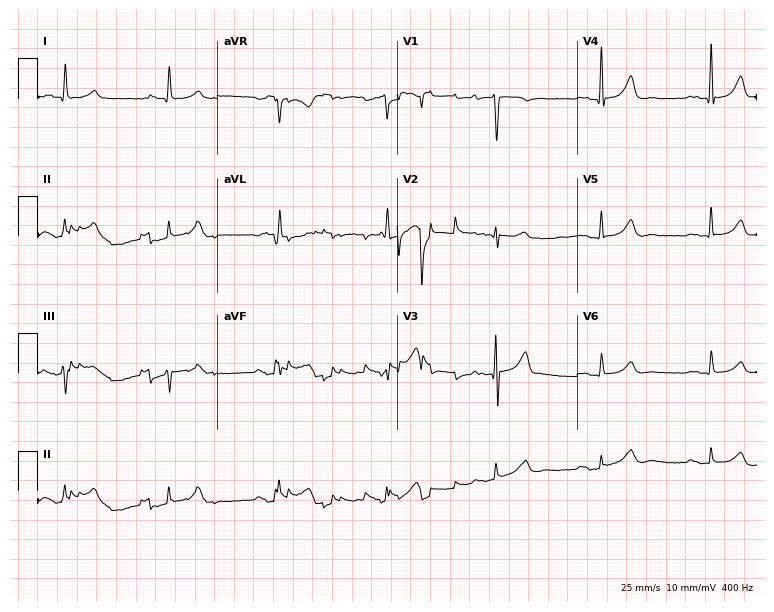
ECG (7.3-second recording at 400 Hz) — a 76-year-old male. Screened for six findings — first-degree AV block, right bundle branch block, left bundle branch block, sinus bradycardia, atrial fibrillation, sinus tachycardia — none is recorded. Only these six findings were labelled.